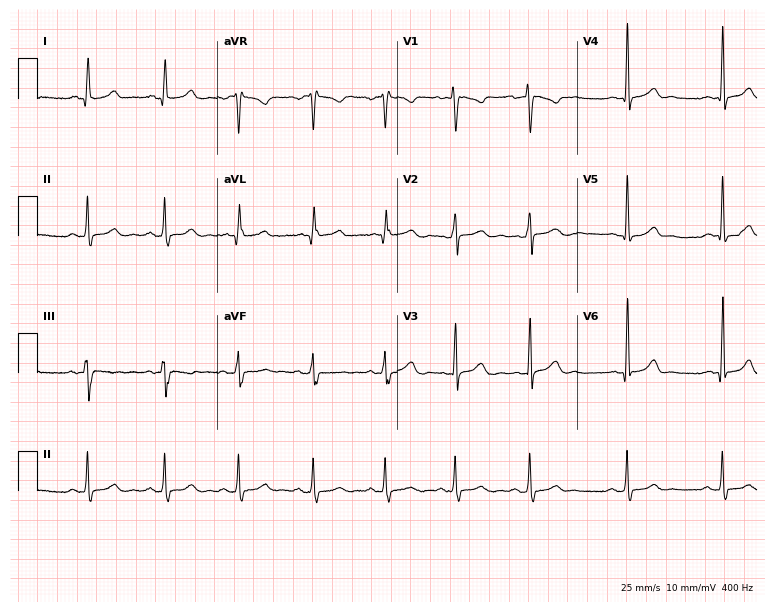
ECG (7.3-second recording at 400 Hz) — a female patient, 20 years old. Labelled as a normal ECG.